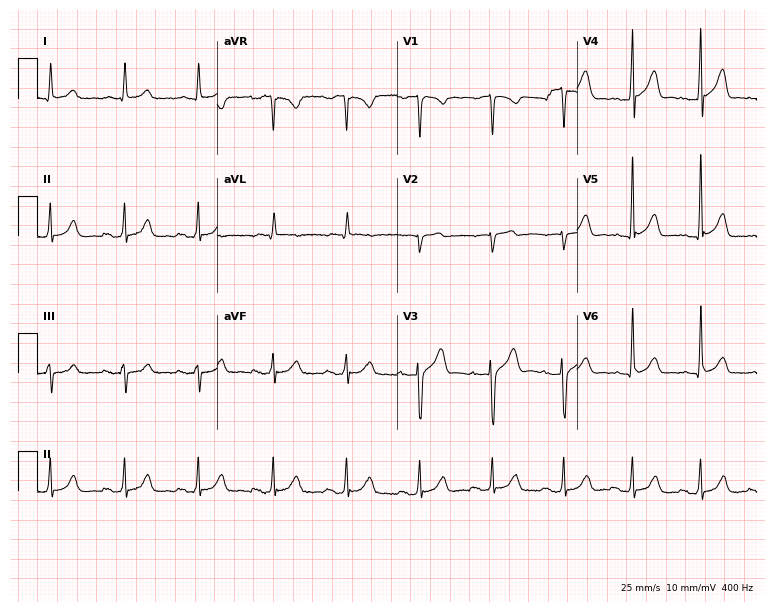
Electrocardiogram (7.3-second recording at 400 Hz), a male patient, 53 years old. Overall reading on record: normal ECG.